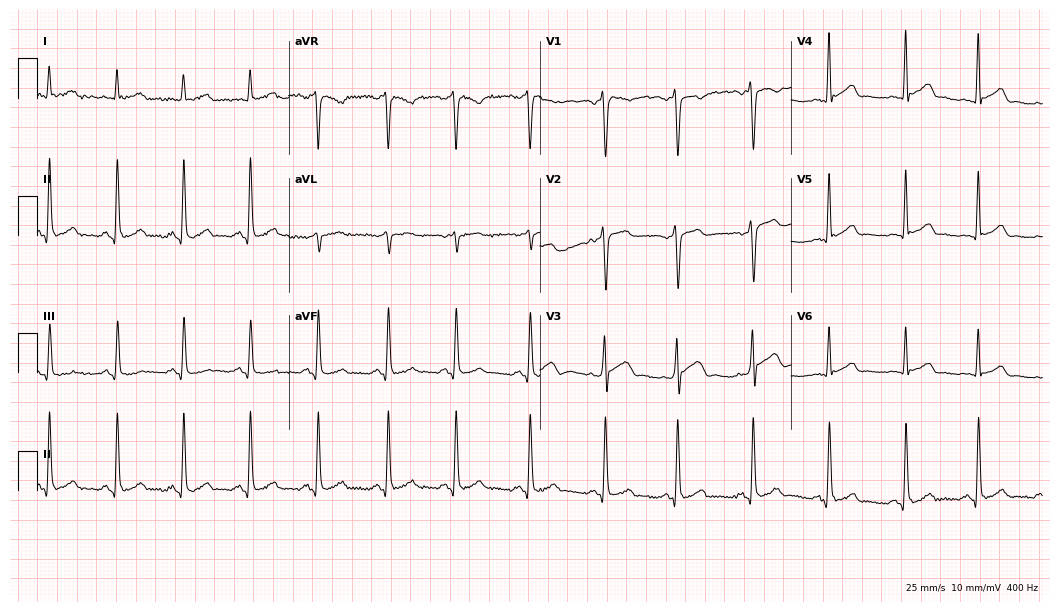
12-lead ECG from a 27-year-old male patient (10.2-second recording at 400 Hz). No first-degree AV block, right bundle branch block (RBBB), left bundle branch block (LBBB), sinus bradycardia, atrial fibrillation (AF) or sinus tachycardia recorded for this tracing.